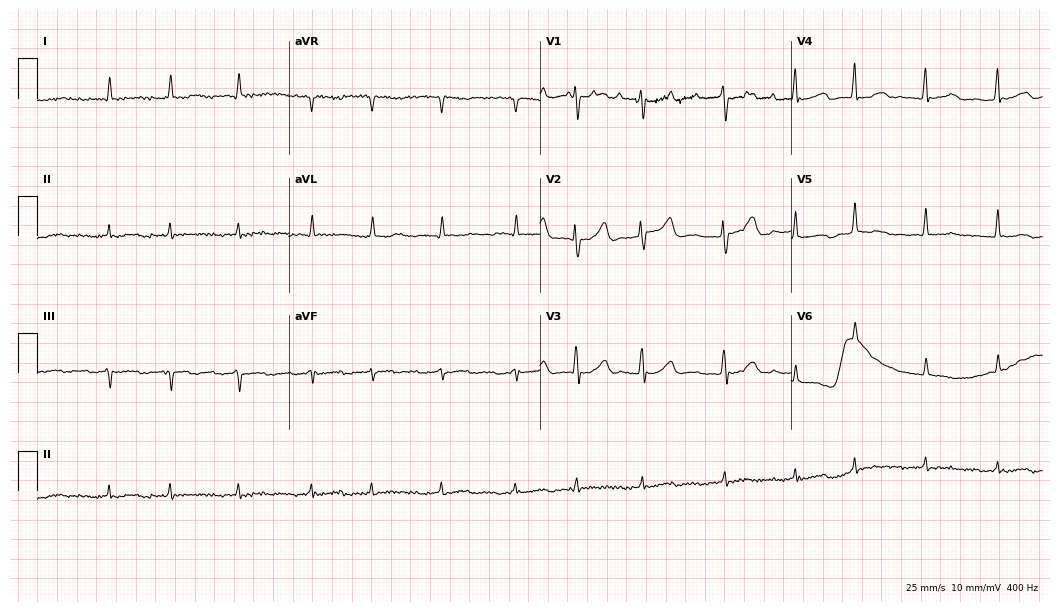
Standard 12-lead ECG recorded from an 85-year-old female (10.2-second recording at 400 Hz). None of these six findings is recorded: first-degree AV block, right bundle branch block (RBBB), left bundle branch block (LBBB), sinus bradycardia, atrial fibrillation (AF), sinus tachycardia. Findings outside these six are not listed.